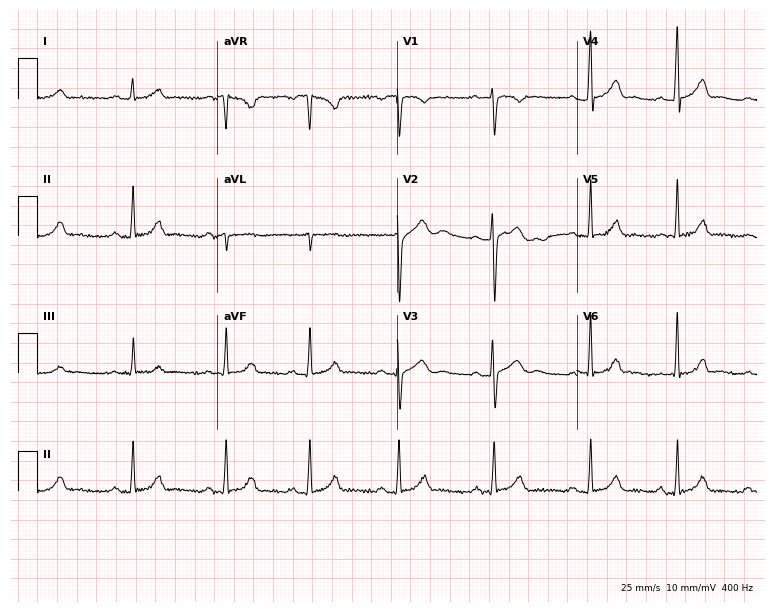
ECG (7.3-second recording at 400 Hz) — a female patient, 18 years old. Screened for six findings — first-degree AV block, right bundle branch block (RBBB), left bundle branch block (LBBB), sinus bradycardia, atrial fibrillation (AF), sinus tachycardia — none is recorded. Findings outside these six are not listed.